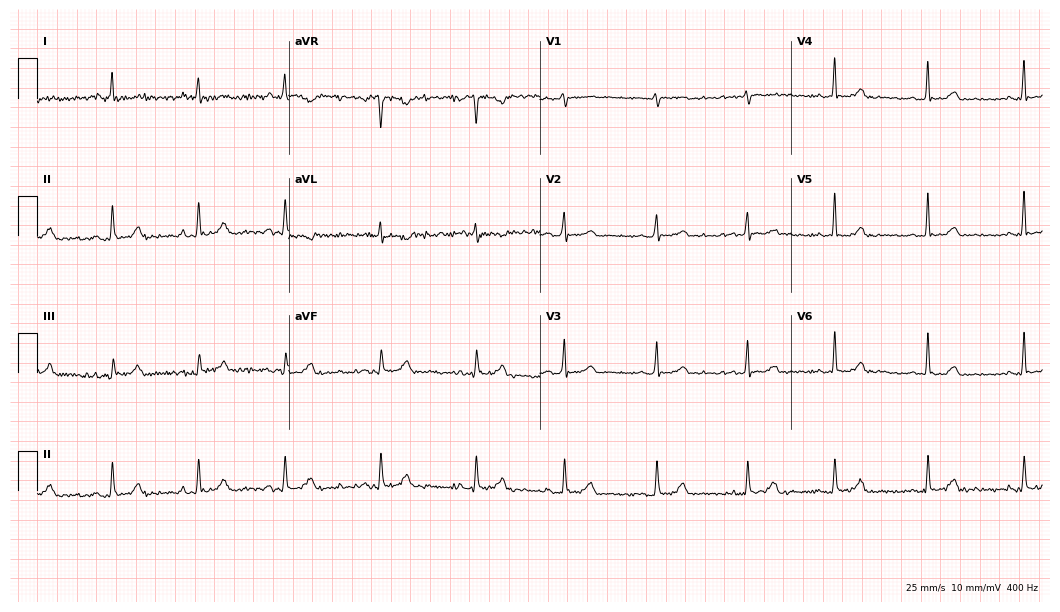
ECG — a 30-year-old female. Screened for six findings — first-degree AV block, right bundle branch block, left bundle branch block, sinus bradycardia, atrial fibrillation, sinus tachycardia — none is recorded. Findings outside these six are not listed.